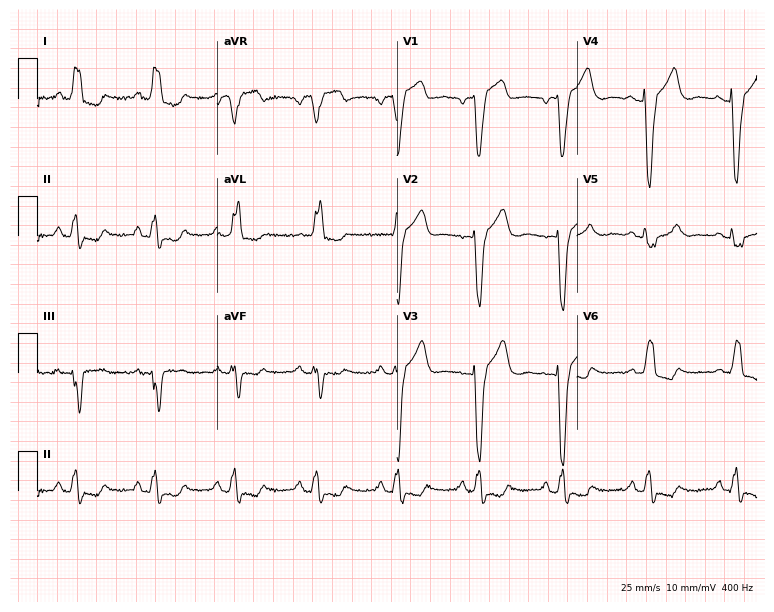
Resting 12-lead electrocardiogram (7.3-second recording at 400 Hz). Patient: a female, 50 years old. The tracing shows left bundle branch block.